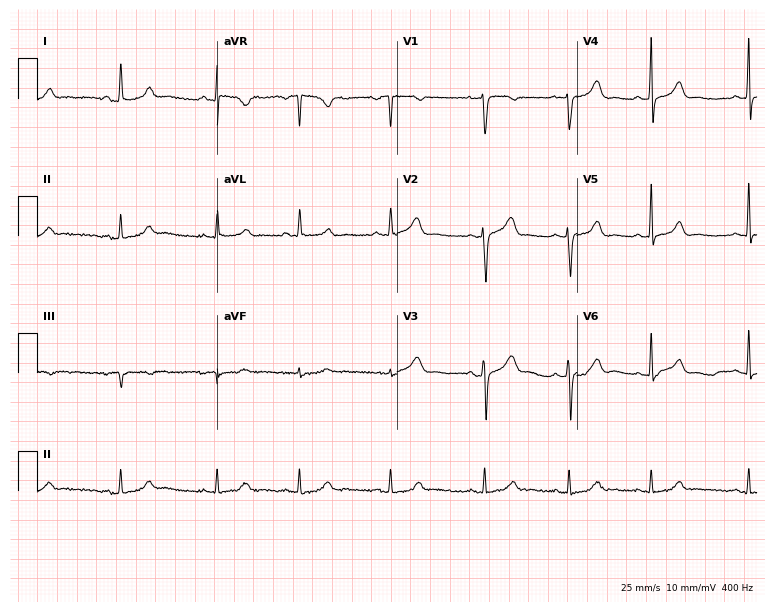
12-lead ECG from a 34-year-old female. No first-degree AV block, right bundle branch block (RBBB), left bundle branch block (LBBB), sinus bradycardia, atrial fibrillation (AF) or sinus tachycardia recorded for this tracing. Findings outside these six are not listed.